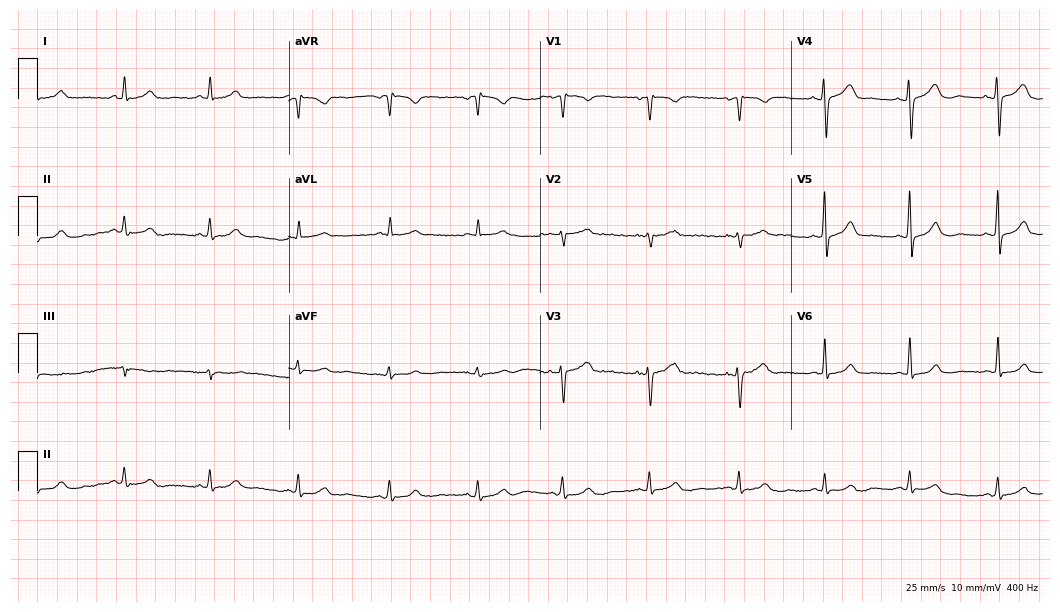
12-lead ECG (10.2-second recording at 400 Hz) from a female, 39 years old. Labelled as a normal ECG.